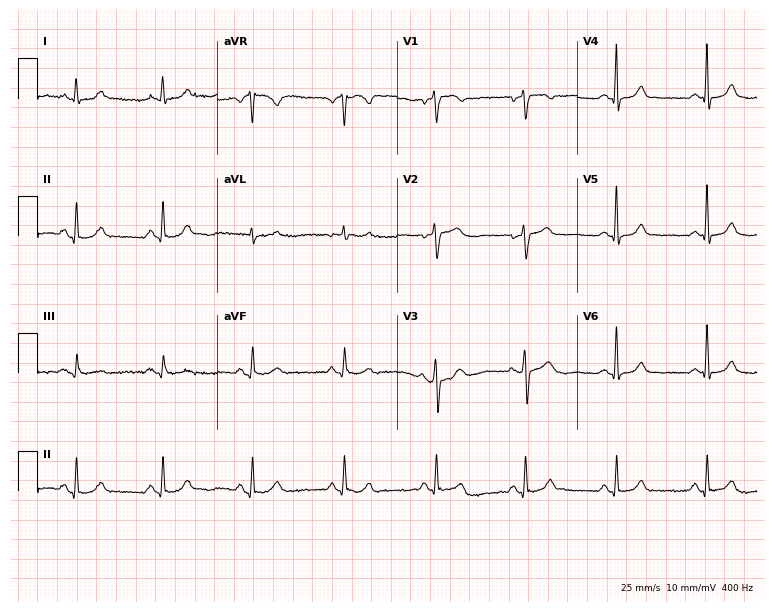
12-lead ECG (7.3-second recording at 400 Hz) from a 51-year-old female patient. Labelled as a normal ECG.